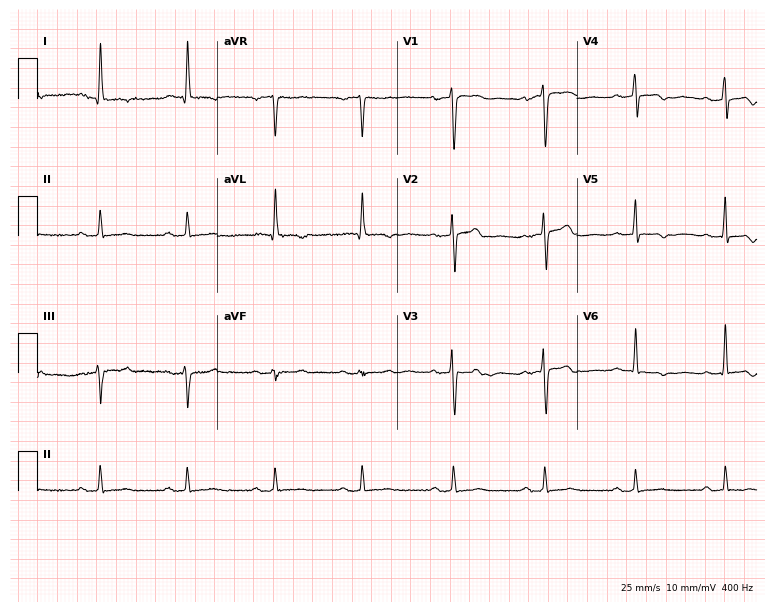
12-lead ECG (7.3-second recording at 400 Hz) from a female, 83 years old. Screened for six findings — first-degree AV block, right bundle branch block, left bundle branch block, sinus bradycardia, atrial fibrillation, sinus tachycardia — none is recorded.